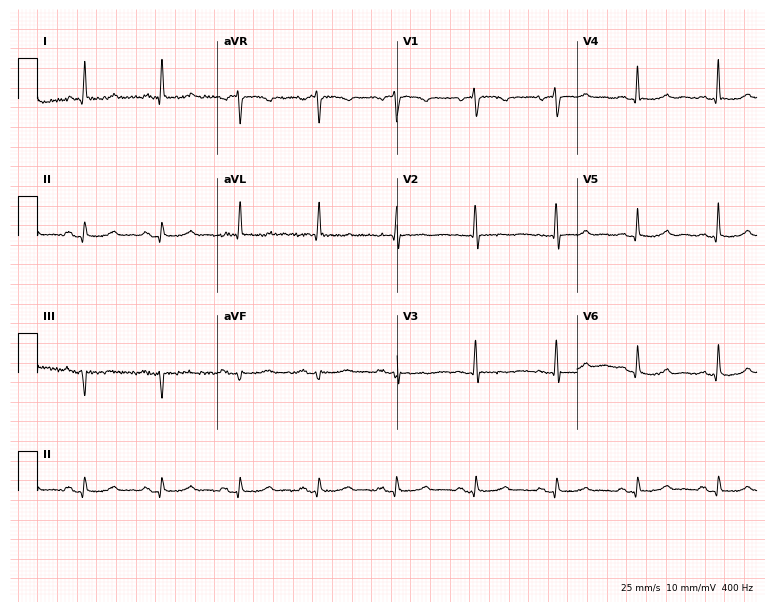
ECG (7.3-second recording at 400 Hz) — an 83-year-old woman. Screened for six findings — first-degree AV block, right bundle branch block, left bundle branch block, sinus bradycardia, atrial fibrillation, sinus tachycardia — none is recorded. Only these six findings were labelled.